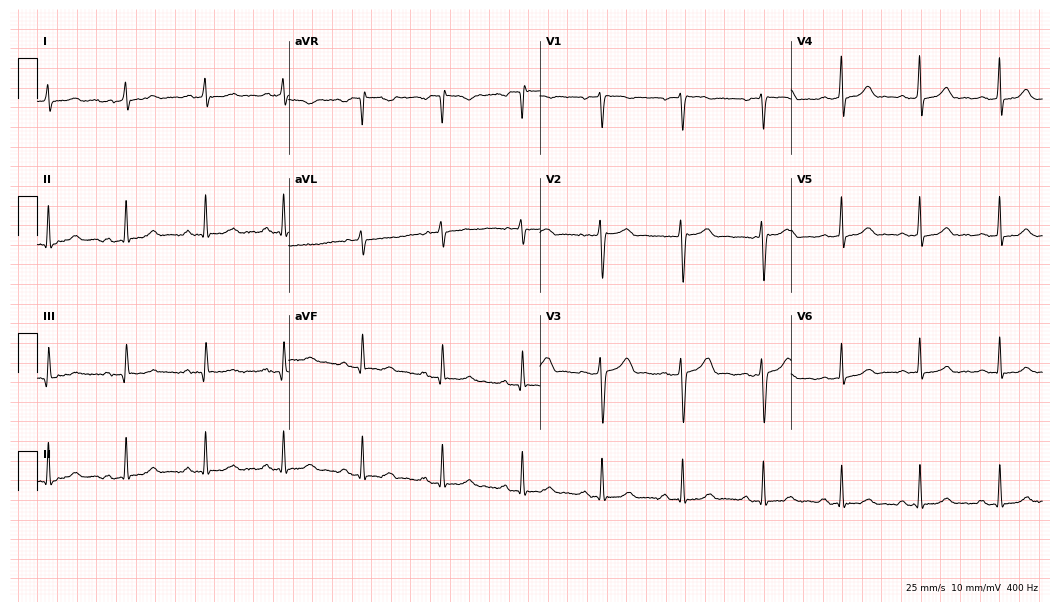
12-lead ECG from a 31-year-old female patient (10.2-second recording at 400 Hz). Recorded interpretation: within normal limits.